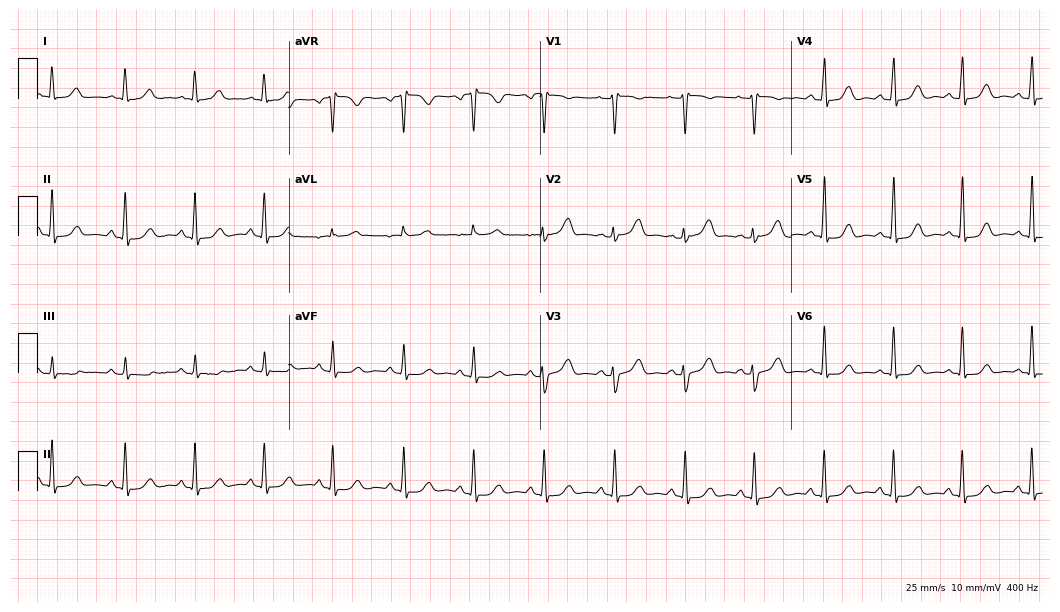
Resting 12-lead electrocardiogram. Patient: a woman, 53 years old. None of these six findings is recorded: first-degree AV block, right bundle branch block (RBBB), left bundle branch block (LBBB), sinus bradycardia, atrial fibrillation (AF), sinus tachycardia.